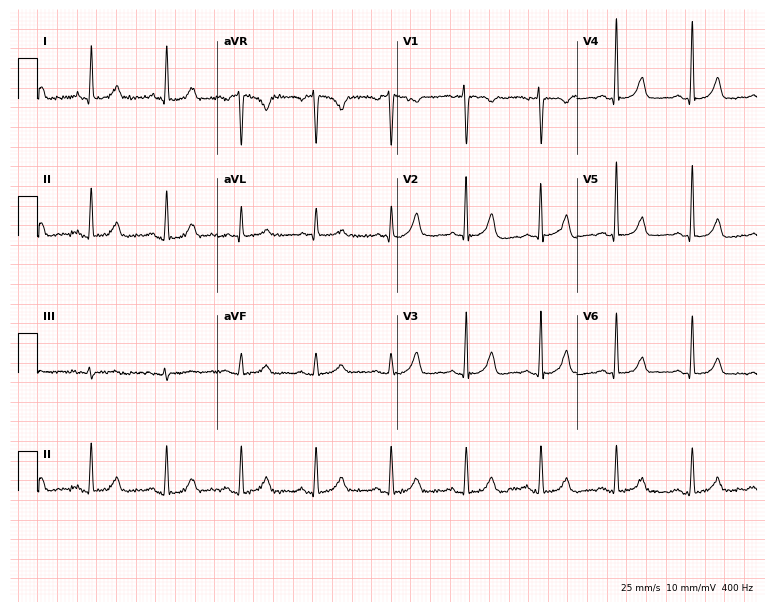
Standard 12-lead ECG recorded from a 70-year-old female patient (7.3-second recording at 400 Hz). Read as a normal ECG.